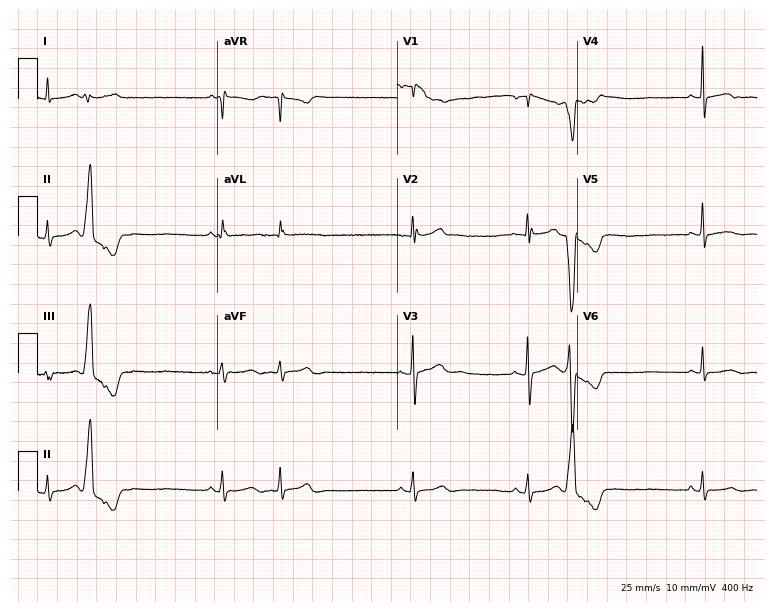
12-lead ECG from a 43-year-old female patient (7.3-second recording at 400 Hz). No first-degree AV block, right bundle branch block (RBBB), left bundle branch block (LBBB), sinus bradycardia, atrial fibrillation (AF) or sinus tachycardia recorded for this tracing. Only these six findings were labelled.